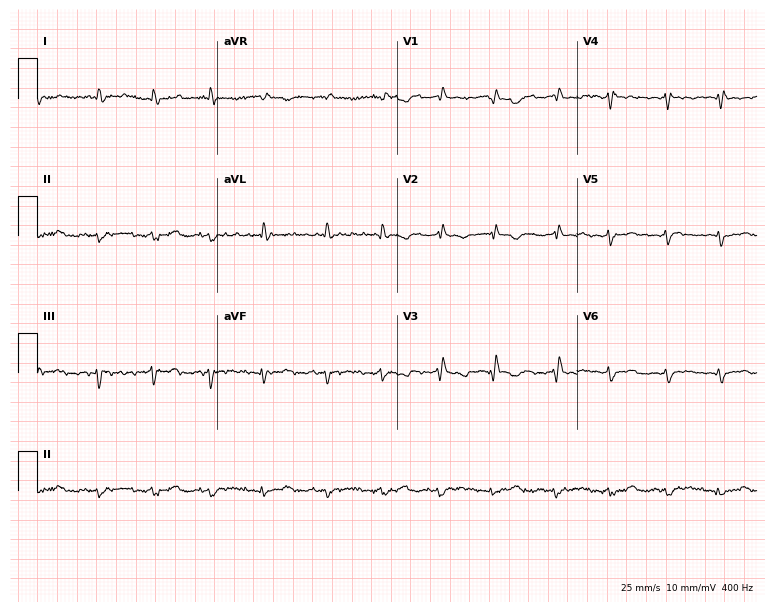
12-lead ECG from a female patient, 68 years old. No first-degree AV block, right bundle branch block, left bundle branch block, sinus bradycardia, atrial fibrillation or sinus tachycardia recorded for this tracing. Findings outside these six are not listed.